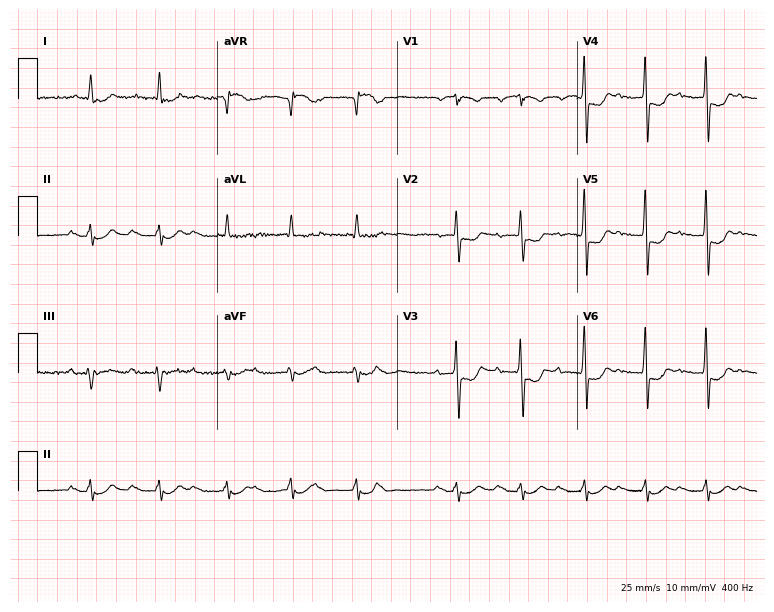
12-lead ECG from a male patient, 85 years old. No first-degree AV block, right bundle branch block, left bundle branch block, sinus bradycardia, atrial fibrillation or sinus tachycardia recorded for this tracing.